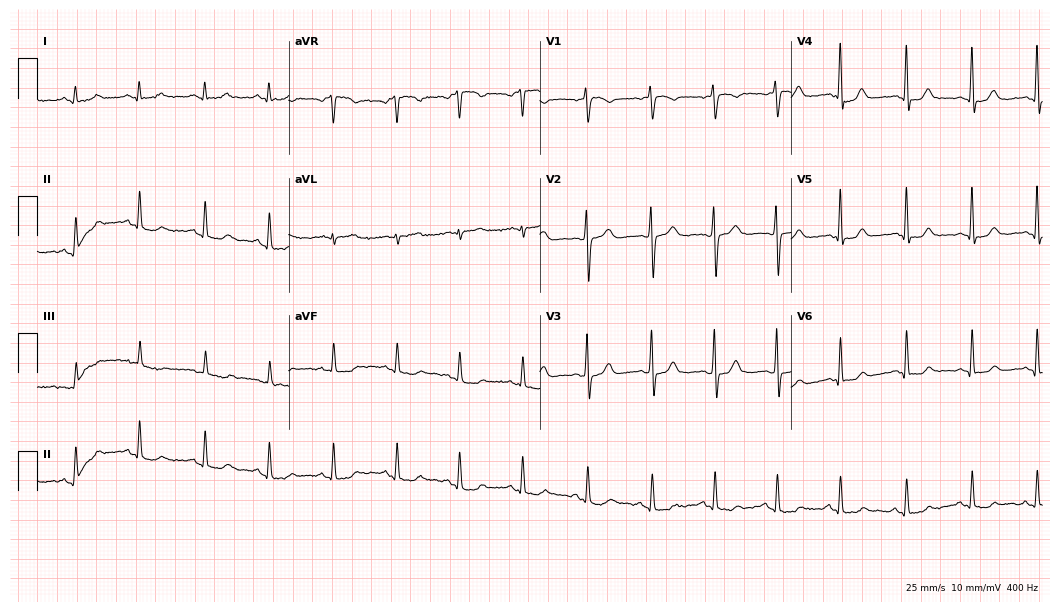
ECG — a female, 29 years old. Labelled as a normal ECG.